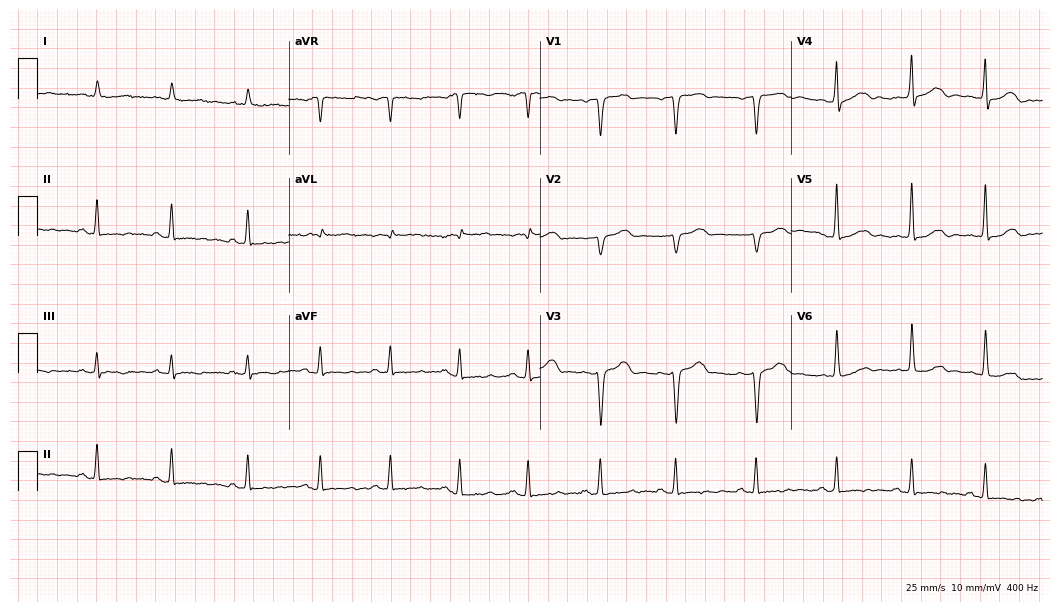
12-lead ECG from a male, 51 years old. Screened for six findings — first-degree AV block, right bundle branch block, left bundle branch block, sinus bradycardia, atrial fibrillation, sinus tachycardia — none is recorded. Other findings, if any, are not listed.